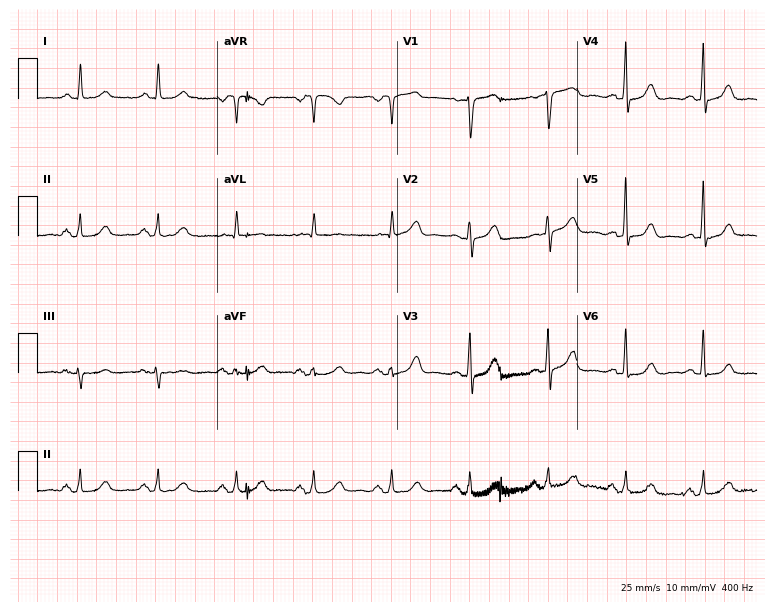
12-lead ECG from a female, 75 years old. No first-degree AV block, right bundle branch block, left bundle branch block, sinus bradycardia, atrial fibrillation or sinus tachycardia recorded for this tracing. Findings outside these six are not listed.